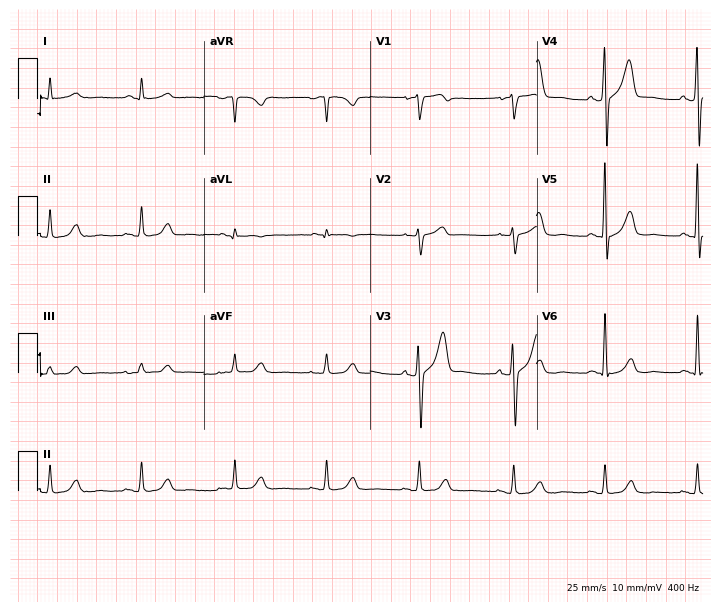
Resting 12-lead electrocardiogram. Patient: a 70-year-old male. Read as a normal ECG.